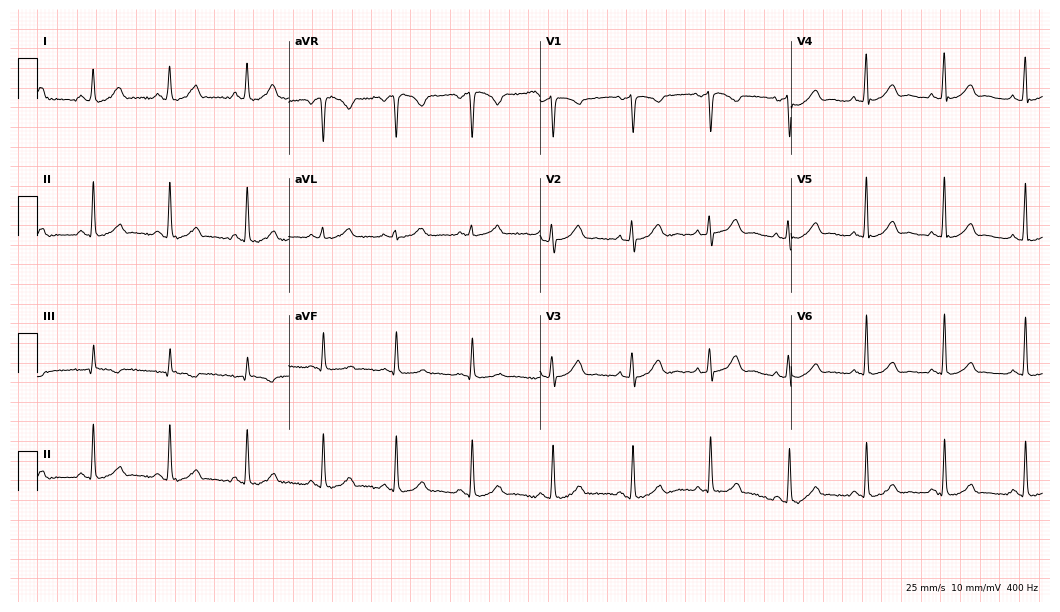
Electrocardiogram (10.2-second recording at 400 Hz), a female, 27 years old. Overall reading on record: normal ECG.